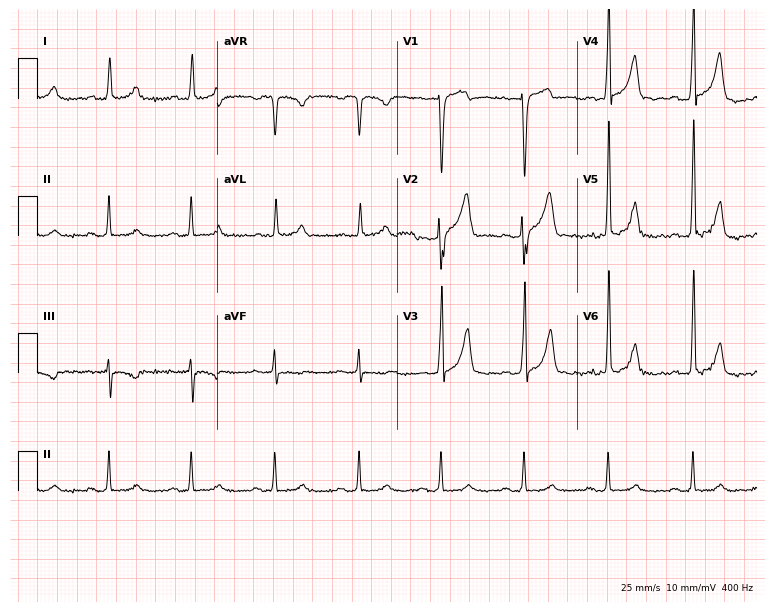
12-lead ECG from a 63-year-old male patient. No first-degree AV block, right bundle branch block, left bundle branch block, sinus bradycardia, atrial fibrillation or sinus tachycardia recorded for this tracing.